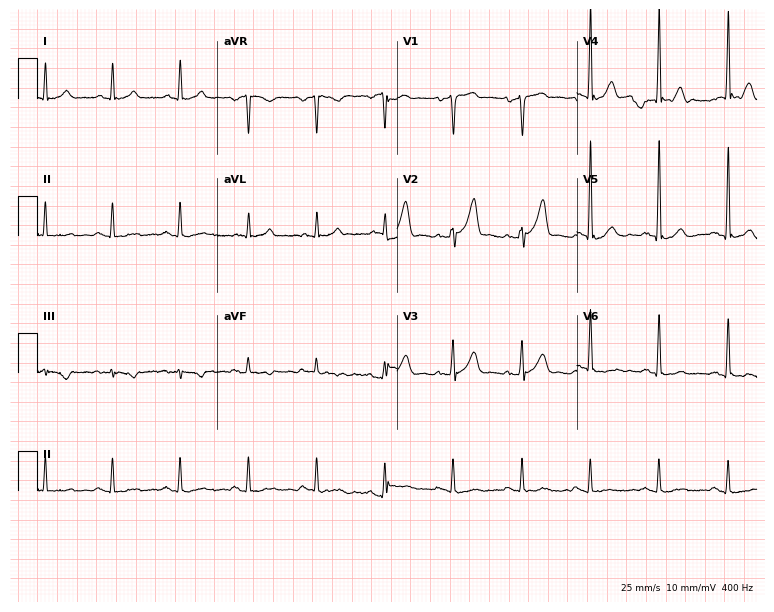
Electrocardiogram, a male patient, 67 years old. Of the six screened findings (first-degree AV block, right bundle branch block, left bundle branch block, sinus bradycardia, atrial fibrillation, sinus tachycardia), none is recorded. Only these six findings were labelled.